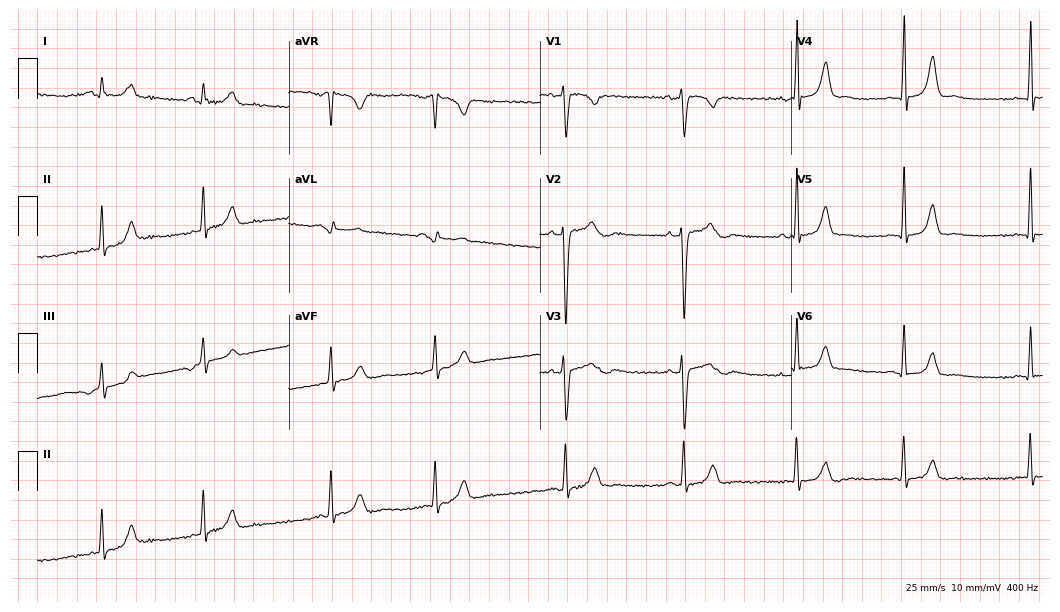
Electrocardiogram (10.2-second recording at 400 Hz), a 42-year-old male. Of the six screened findings (first-degree AV block, right bundle branch block, left bundle branch block, sinus bradycardia, atrial fibrillation, sinus tachycardia), none is recorded. Other findings, if any, are not listed.